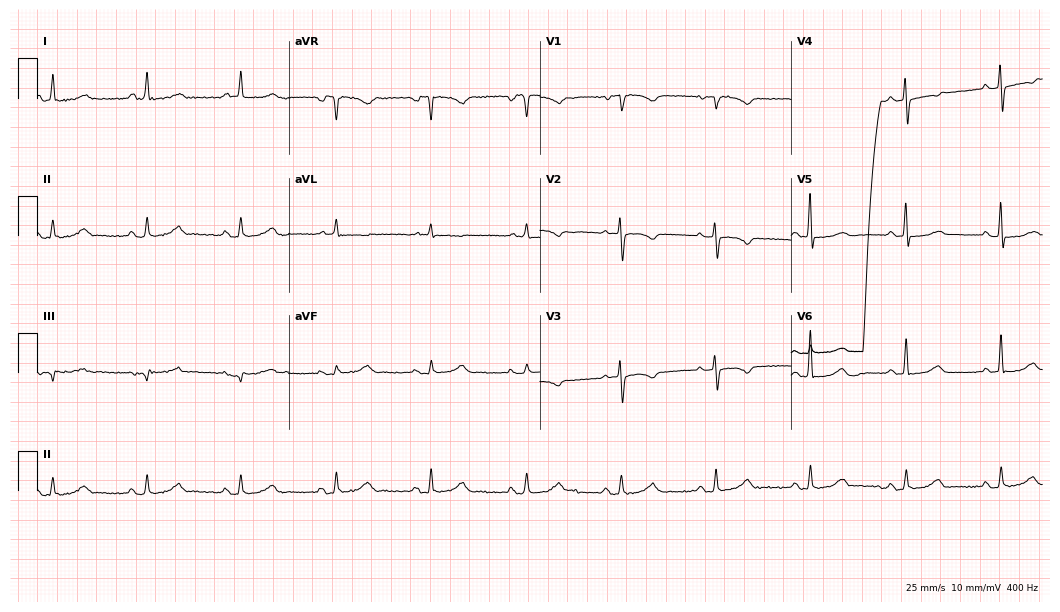
Electrocardiogram (10.2-second recording at 400 Hz), a female, 75 years old. Of the six screened findings (first-degree AV block, right bundle branch block (RBBB), left bundle branch block (LBBB), sinus bradycardia, atrial fibrillation (AF), sinus tachycardia), none is recorded.